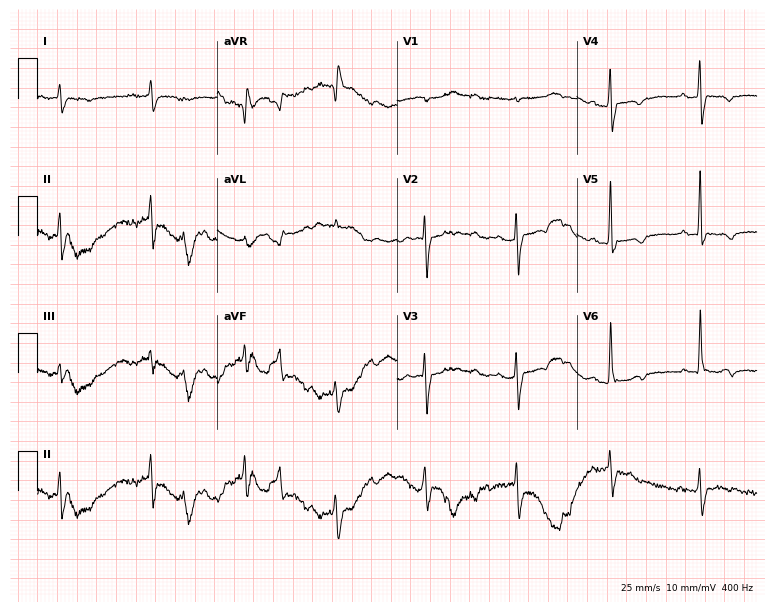
ECG — a female patient, 65 years old. Screened for six findings — first-degree AV block, right bundle branch block (RBBB), left bundle branch block (LBBB), sinus bradycardia, atrial fibrillation (AF), sinus tachycardia — none is recorded.